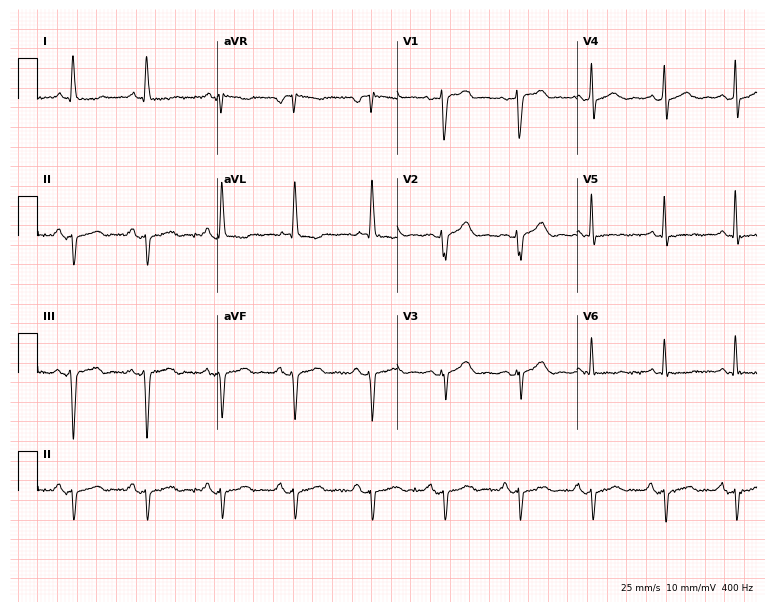
12-lead ECG from a 77-year-old woman. No first-degree AV block, right bundle branch block (RBBB), left bundle branch block (LBBB), sinus bradycardia, atrial fibrillation (AF) or sinus tachycardia recorded for this tracing.